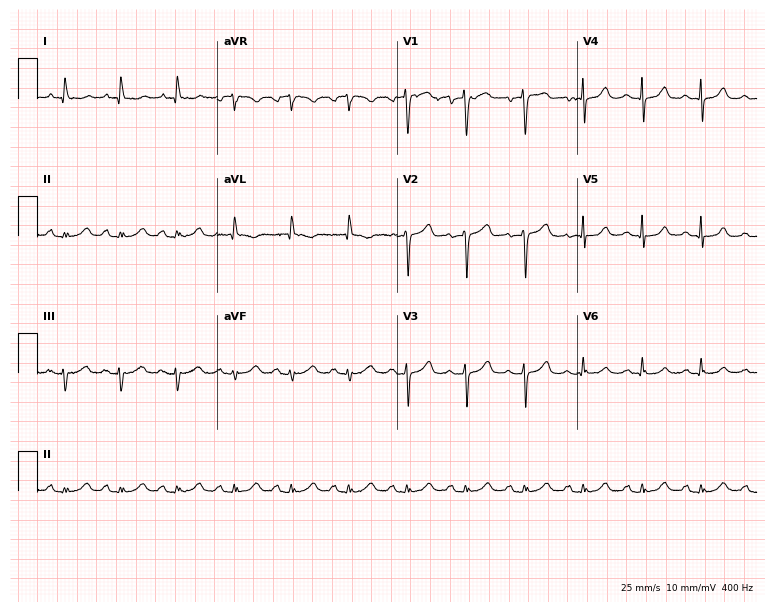
ECG — a 60-year-old woman. Findings include sinus tachycardia (a sinus rate of 100 beats per minute or more).